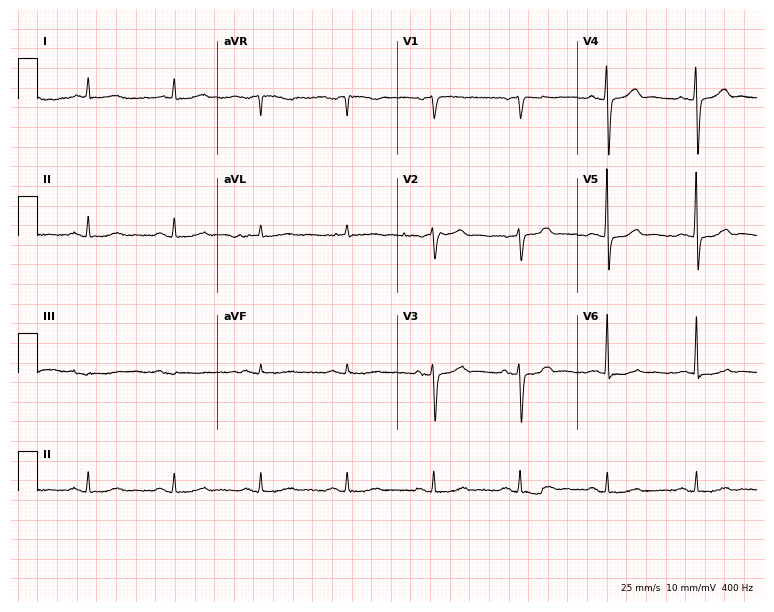
12-lead ECG from an 82-year-old man (7.3-second recording at 400 Hz). No first-degree AV block, right bundle branch block, left bundle branch block, sinus bradycardia, atrial fibrillation or sinus tachycardia recorded for this tracing.